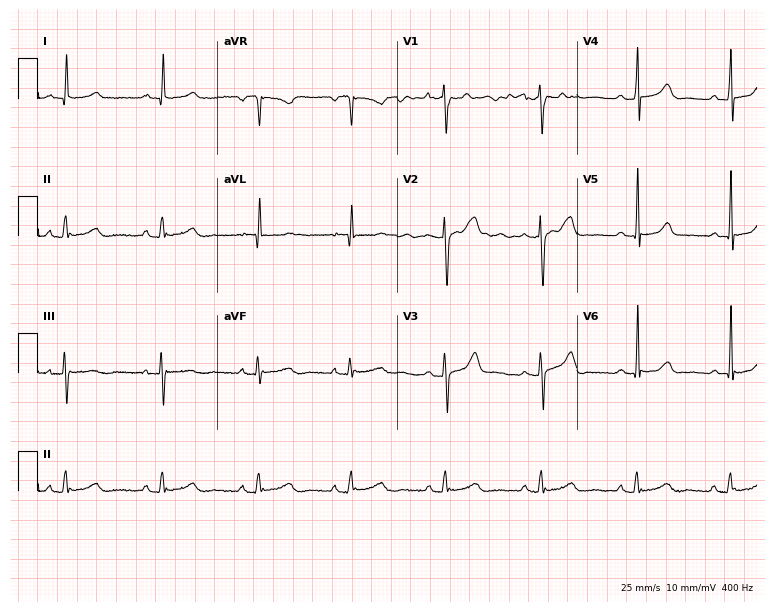
Resting 12-lead electrocardiogram. Patient: a female, 54 years old. None of these six findings is recorded: first-degree AV block, right bundle branch block, left bundle branch block, sinus bradycardia, atrial fibrillation, sinus tachycardia.